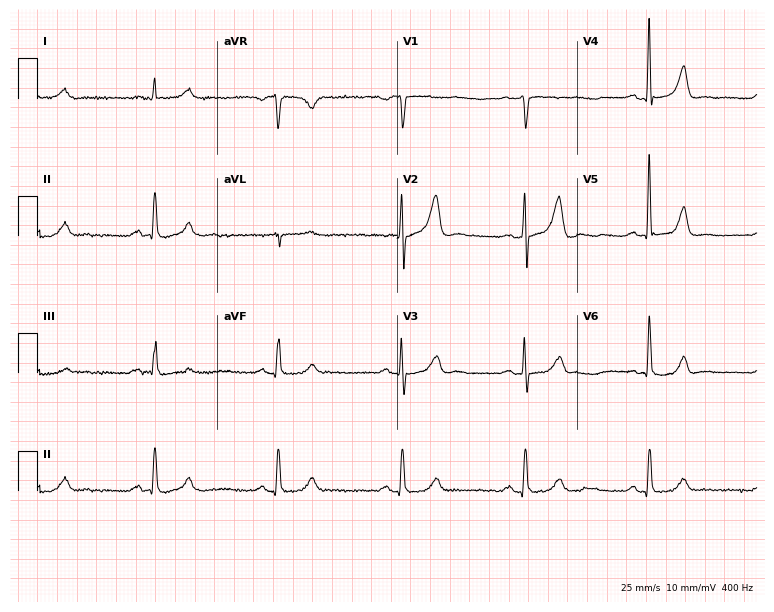
Resting 12-lead electrocardiogram (7.3-second recording at 400 Hz). Patient: a man, 74 years old. The tracing shows sinus bradycardia (a sinus rate of 50 beats per minute or less).